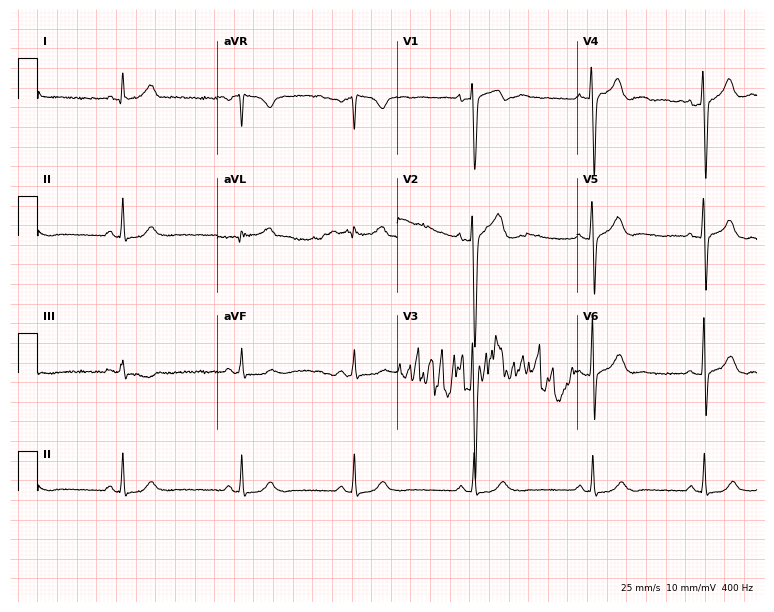
Standard 12-lead ECG recorded from a male patient, 36 years old. Read as a normal ECG.